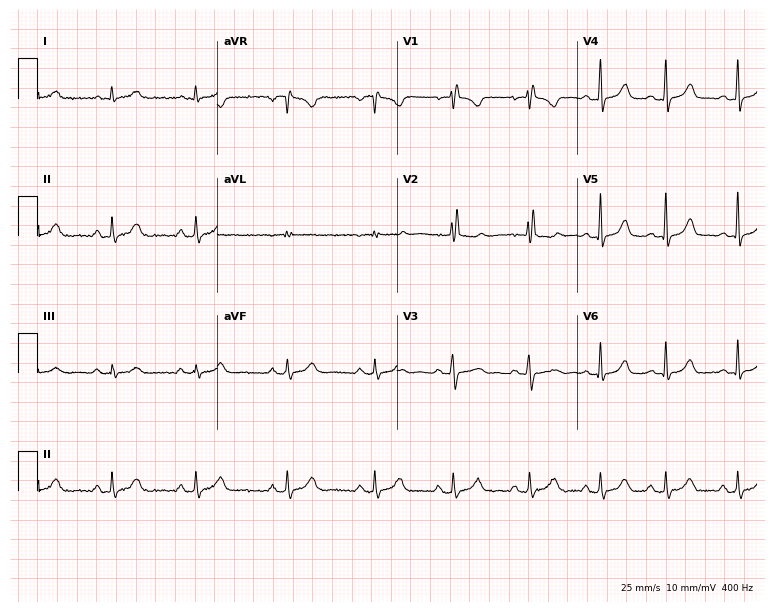
12-lead ECG from a 46-year-old female. No first-degree AV block, right bundle branch block (RBBB), left bundle branch block (LBBB), sinus bradycardia, atrial fibrillation (AF) or sinus tachycardia recorded for this tracing. Findings outside these six are not listed.